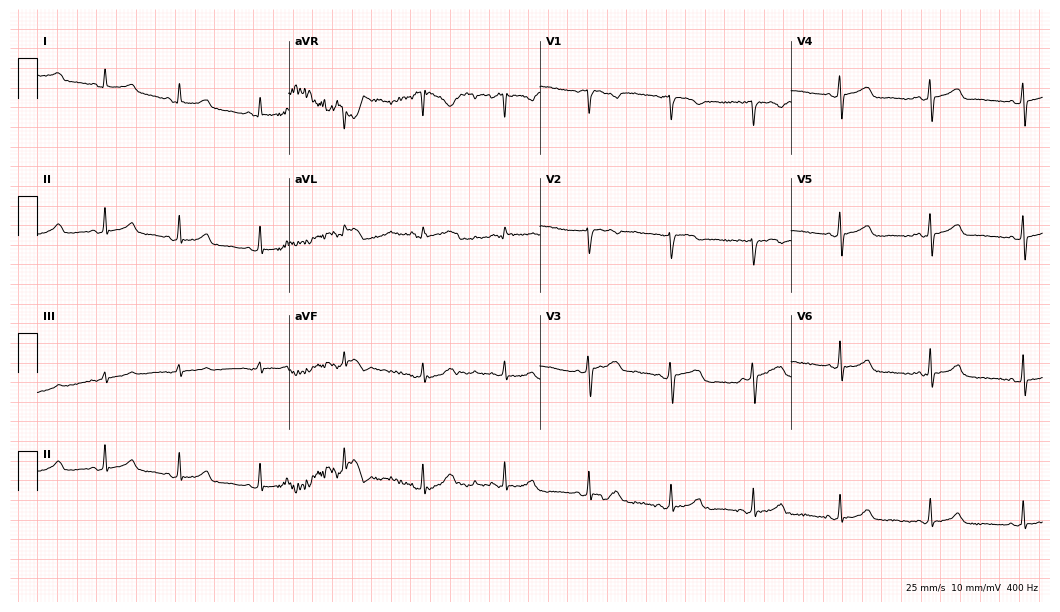
12-lead ECG from a female, 26 years old. No first-degree AV block, right bundle branch block, left bundle branch block, sinus bradycardia, atrial fibrillation or sinus tachycardia recorded for this tracing. Only these six findings were labelled.